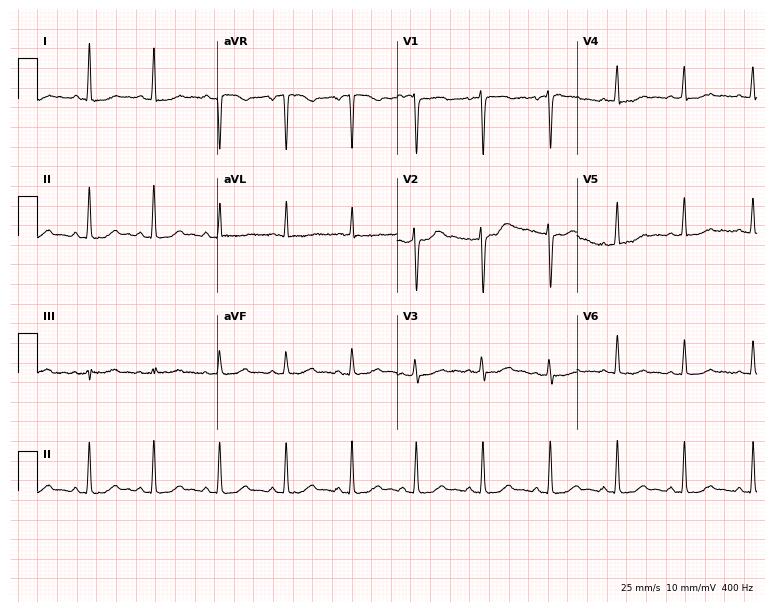
12-lead ECG from a woman, 43 years old. No first-degree AV block, right bundle branch block (RBBB), left bundle branch block (LBBB), sinus bradycardia, atrial fibrillation (AF) or sinus tachycardia recorded for this tracing. Findings outside these six are not listed.